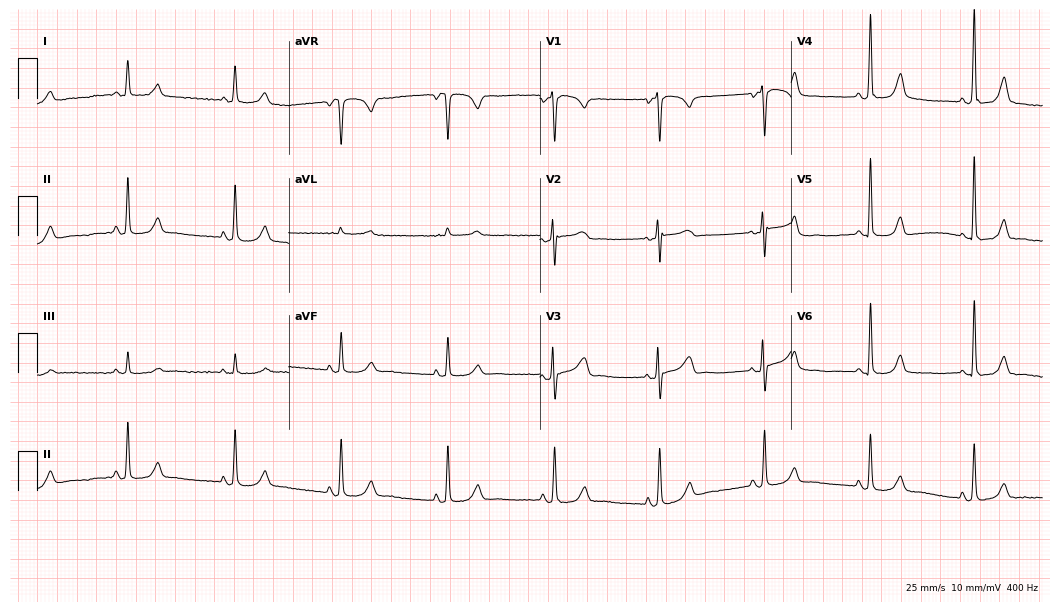
12-lead ECG from a 42-year-old female patient (10.2-second recording at 400 Hz). Recorded interpretation: within normal limits.